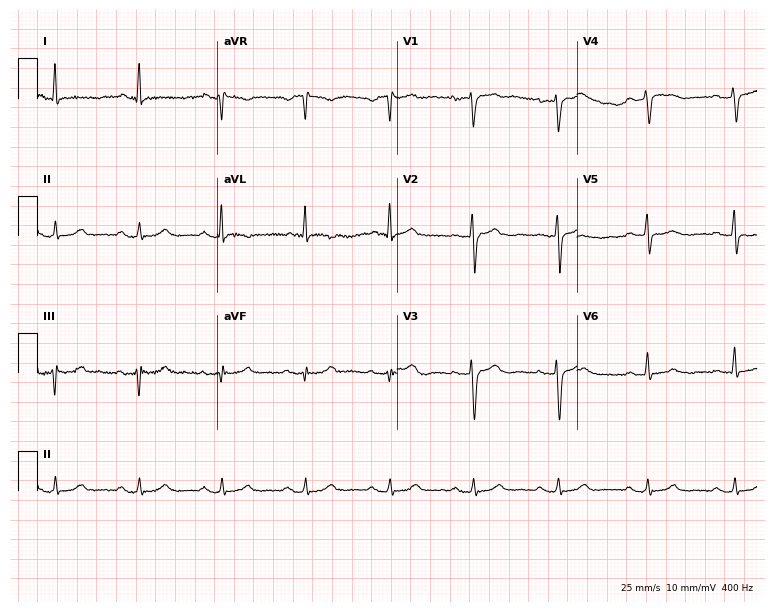
12-lead ECG from a 50-year-old female. Screened for six findings — first-degree AV block, right bundle branch block, left bundle branch block, sinus bradycardia, atrial fibrillation, sinus tachycardia — none is recorded. Findings outside these six are not listed.